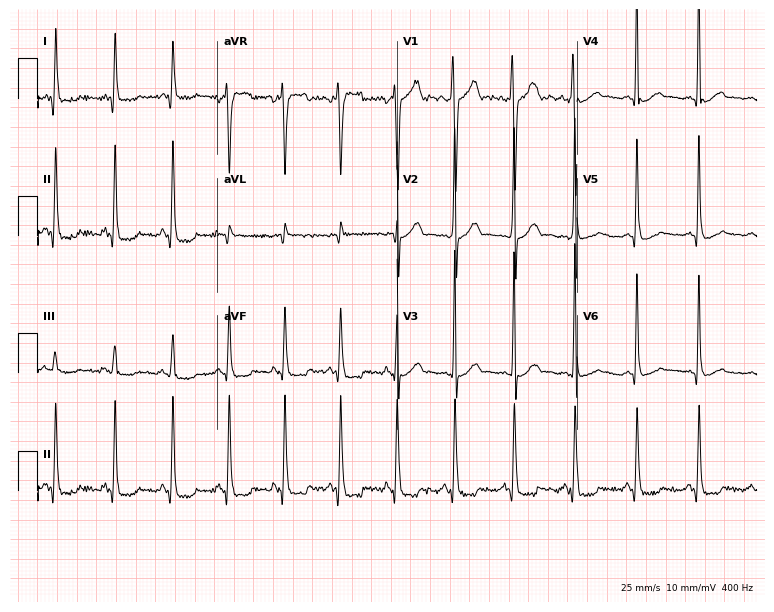
12-lead ECG from a 25-year-old man (7.3-second recording at 400 Hz). Shows sinus tachycardia (a sinus rate of 100 beats per minute or more).